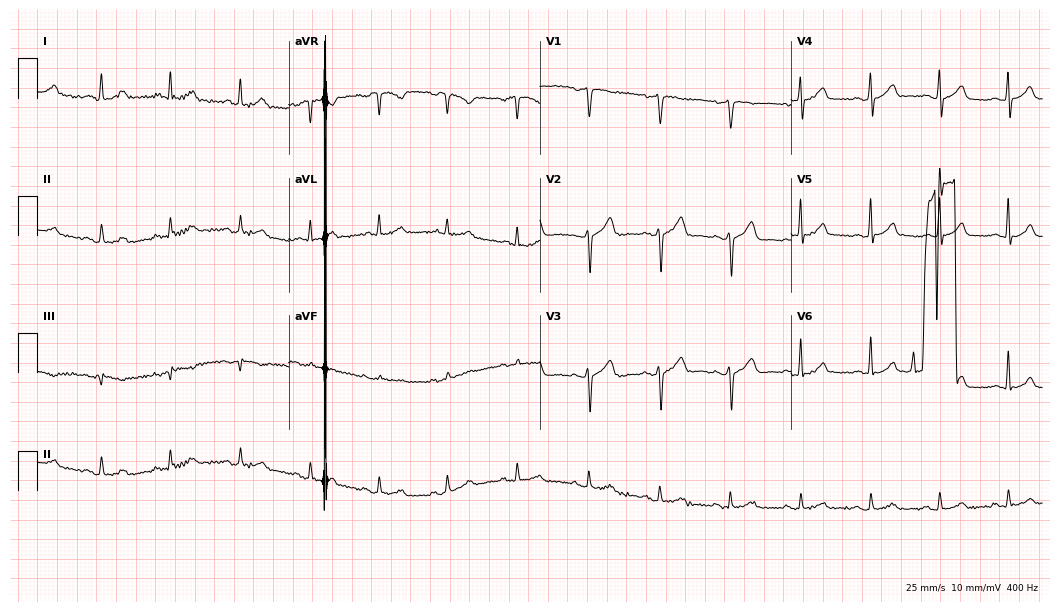
12-lead ECG from a male patient, 49 years old. No first-degree AV block, right bundle branch block (RBBB), left bundle branch block (LBBB), sinus bradycardia, atrial fibrillation (AF) or sinus tachycardia recorded for this tracing. Only these six findings were labelled.